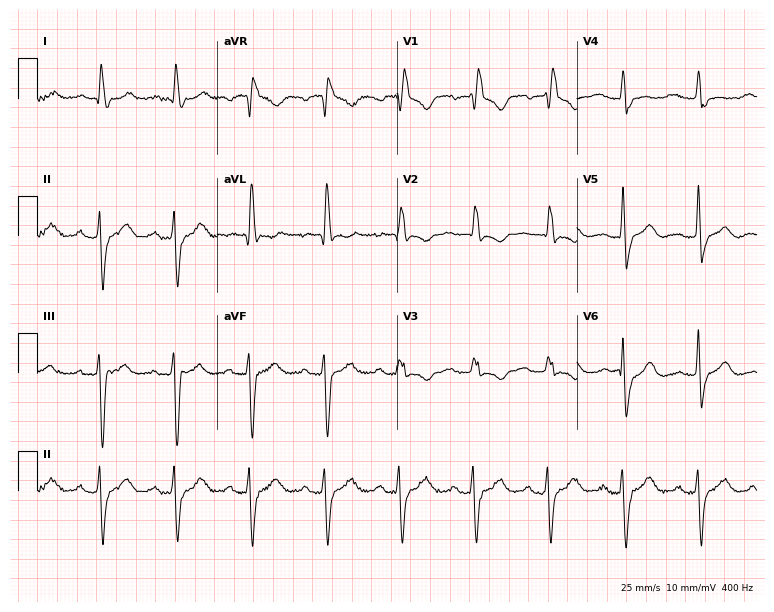
12-lead ECG from a female, 72 years old (7.3-second recording at 400 Hz). Shows first-degree AV block, right bundle branch block.